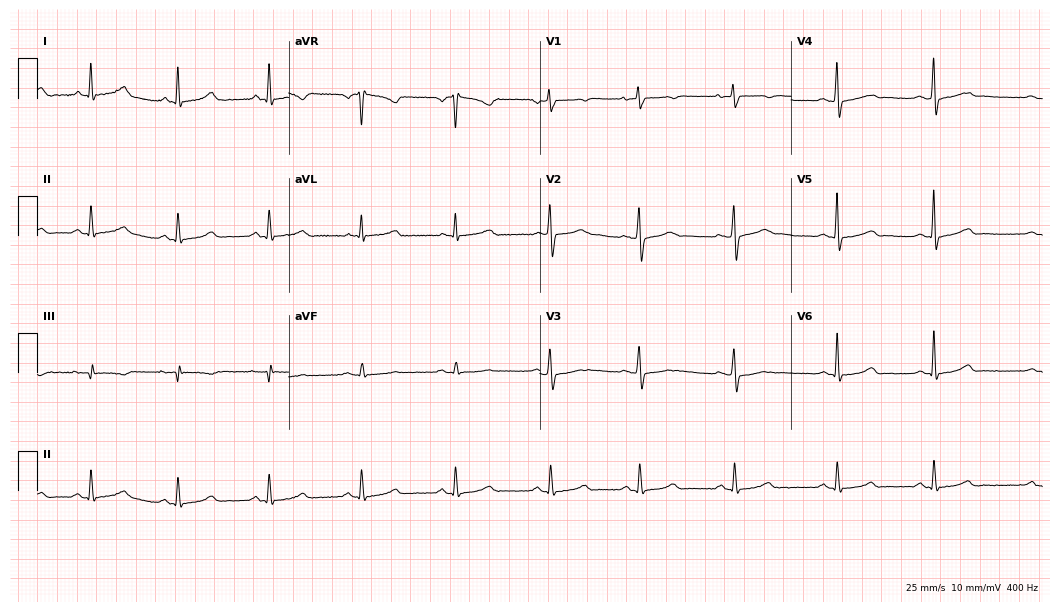
Resting 12-lead electrocardiogram (10.2-second recording at 400 Hz). Patient: a female, 41 years old. Read as a normal ECG.